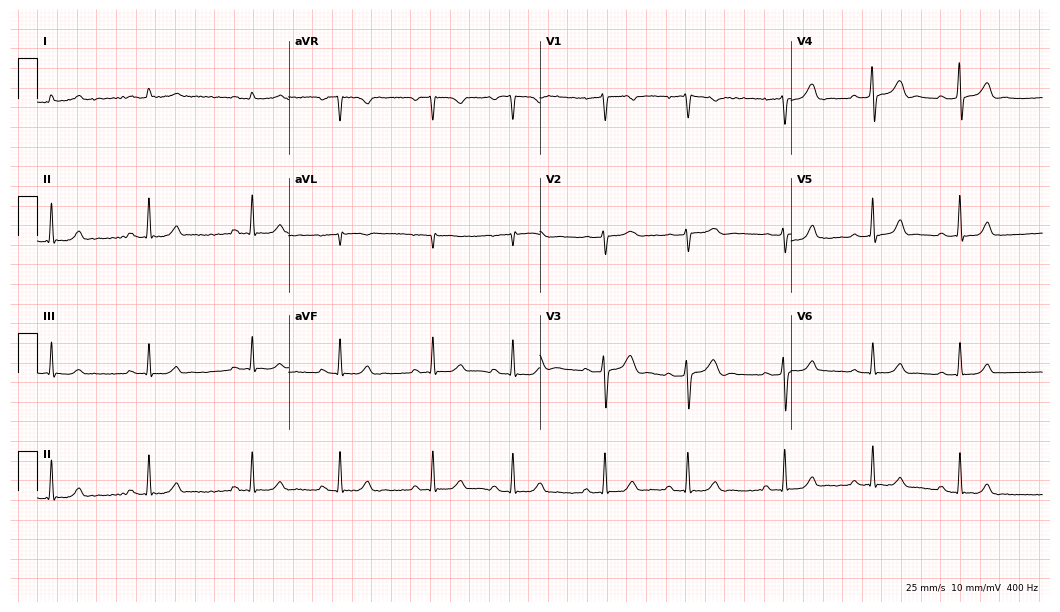
ECG — a 23-year-old woman. Screened for six findings — first-degree AV block, right bundle branch block, left bundle branch block, sinus bradycardia, atrial fibrillation, sinus tachycardia — none is recorded. Only these six findings were labelled.